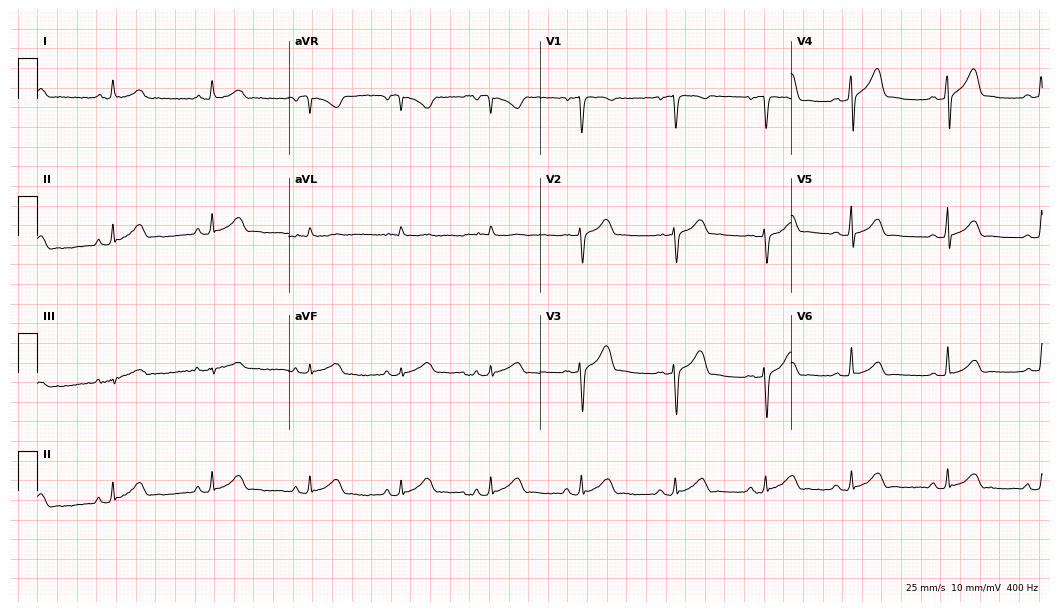
Resting 12-lead electrocardiogram (10.2-second recording at 400 Hz). Patient: a male, 26 years old. Read as a normal ECG.